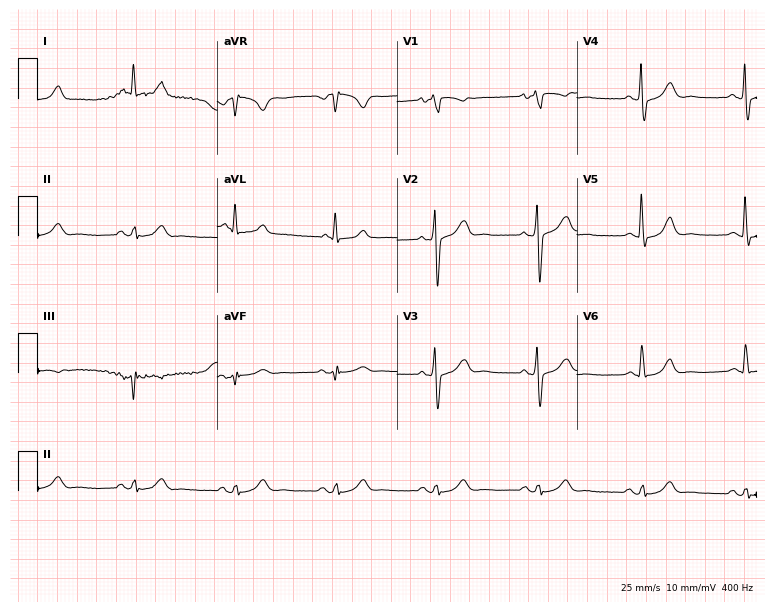
Standard 12-lead ECG recorded from a 59-year-old man. None of these six findings is recorded: first-degree AV block, right bundle branch block, left bundle branch block, sinus bradycardia, atrial fibrillation, sinus tachycardia.